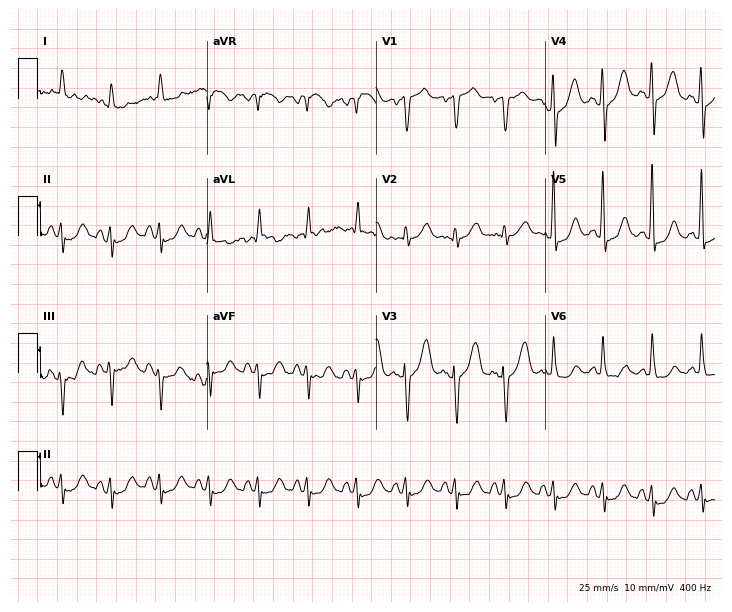
Resting 12-lead electrocardiogram (6.9-second recording at 400 Hz). Patient: an 85-year-old woman. The tracing shows sinus tachycardia (a sinus rate of 100 beats per minute or more).